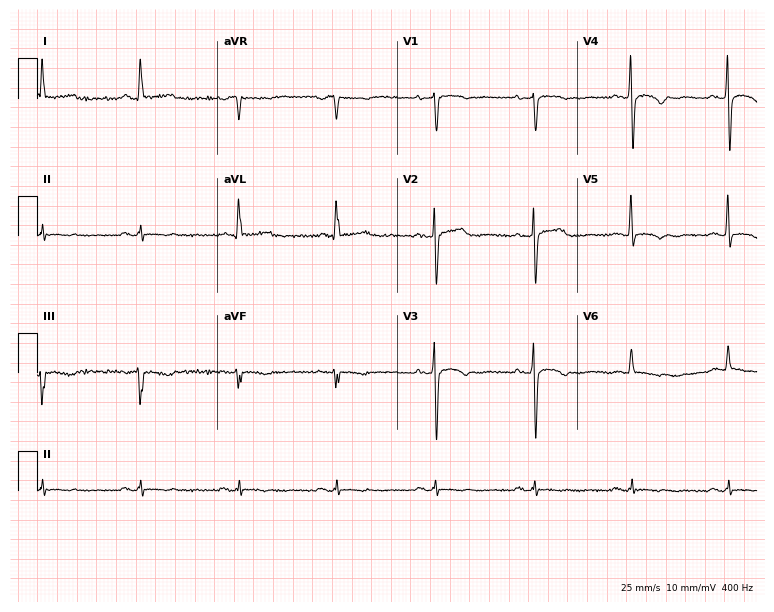
Standard 12-lead ECG recorded from a 77-year-old female patient (7.3-second recording at 400 Hz). None of these six findings is recorded: first-degree AV block, right bundle branch block (RBBB), left bundle branch block (LBBB), sinus bradycardia, atrial fibrillation (AF), sinus tachycardia.